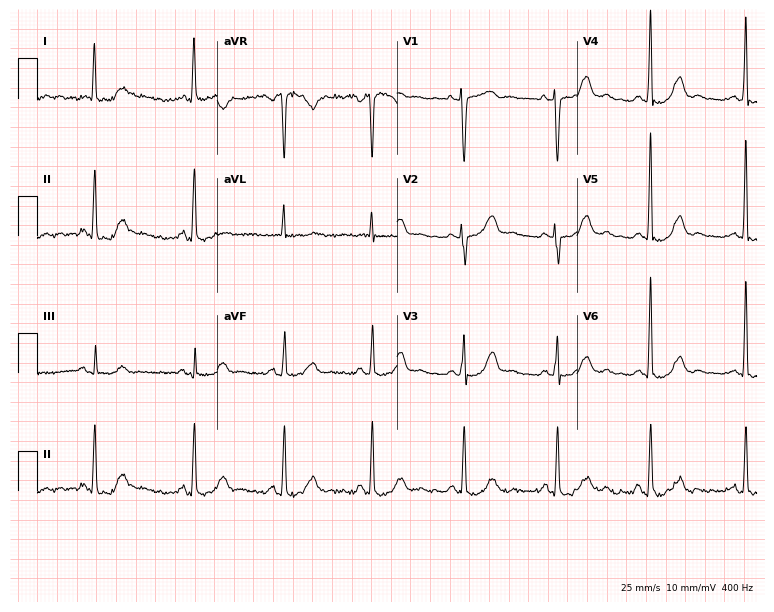
ECG — a female, 64 years old. Screened for six findings — first-degree AV block, right bundle branch block (RBBB), left bundle branch block (LBBB), sinus bradycardia, atrial fibrillation (AF), sinus tachycardia — none is recorded. Only these six findings were labelled.